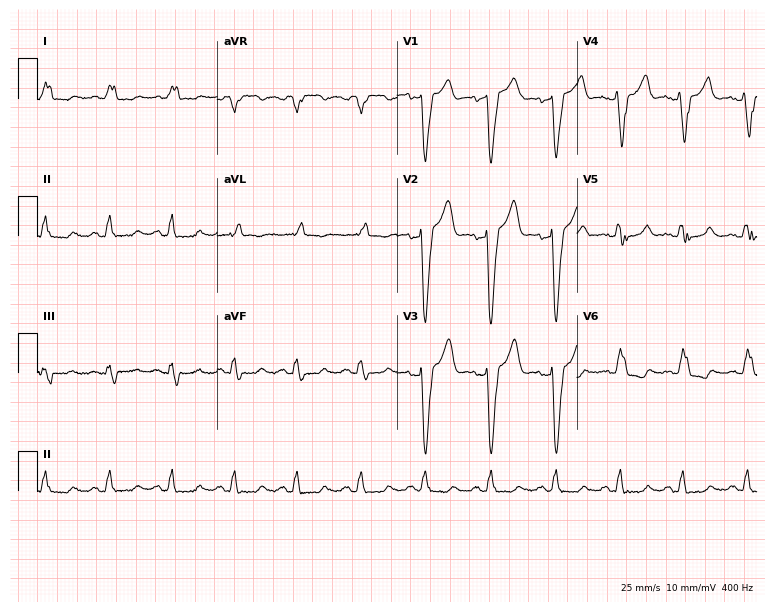
ECG (7.3-second recording at 400 Hz) — a 69-year-old male. Findings include left bundle branch block.